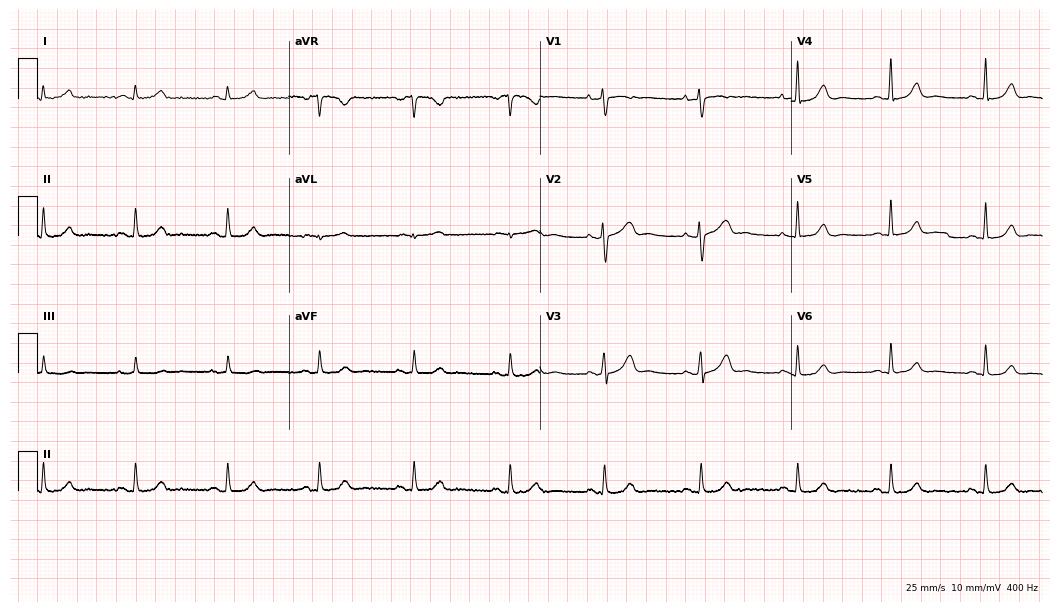
12-lead ECG from a 55-year-old female patient. Labelled as a normal ECG.